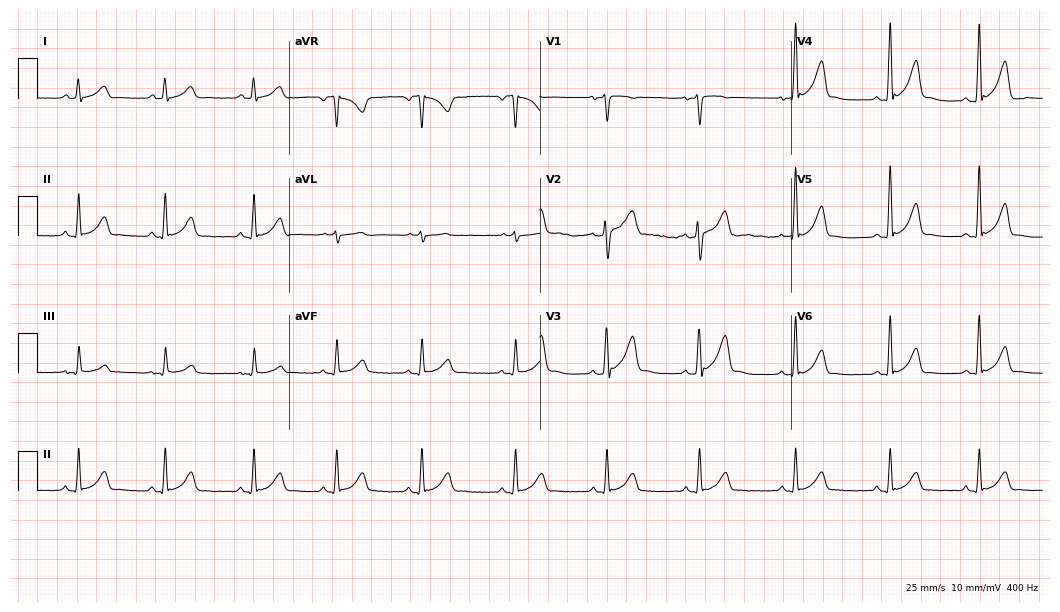
Standard 12-lead ECG recorded from a male patient, 31 years old (10.2-second recording at 400 Hz). Read as a normal ECG.